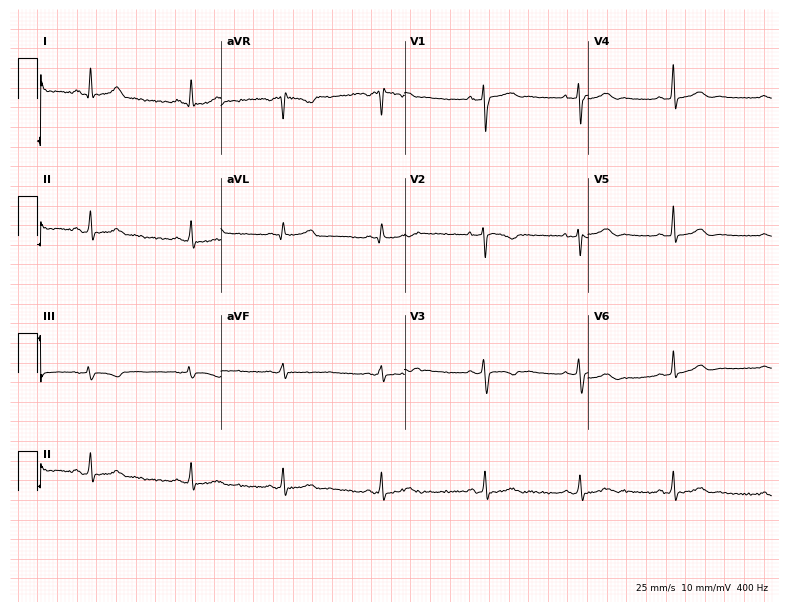
ECG (7.5-second recording at 400 Hz) — a 28-year-old female. Screened for six findings — first-degree AV block, right bundle branch block (RBBB), left bundle branch block (LBBB), sinus bradycardia, atrial fibrillation (AF), sinus tachycardia — none is recorded. Only these six findings were labelled.